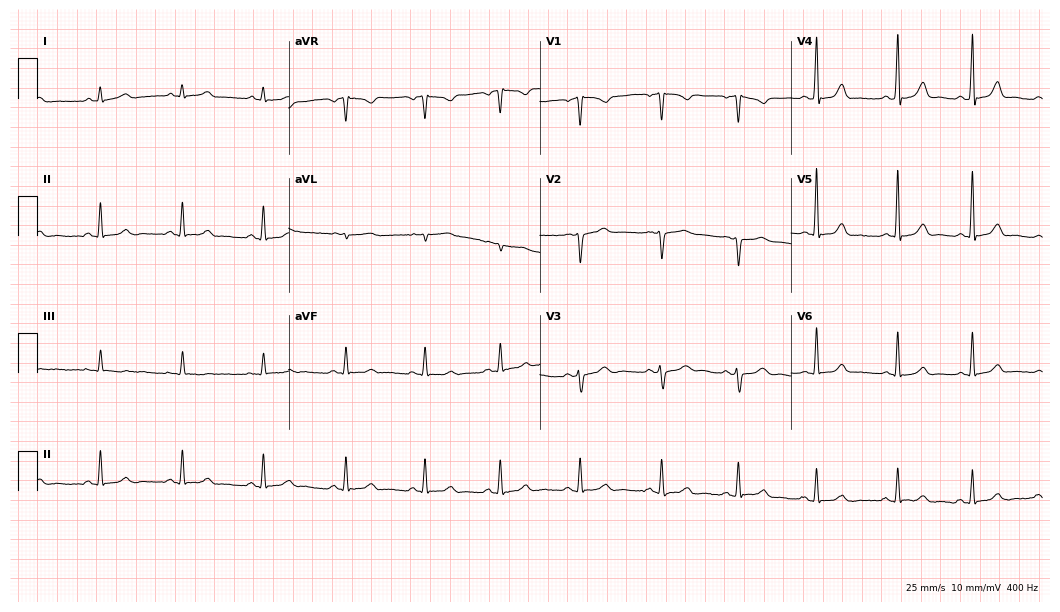
Standard 12-lead ECG recorded from a woman, 47 years old. Read as a normal ECG.